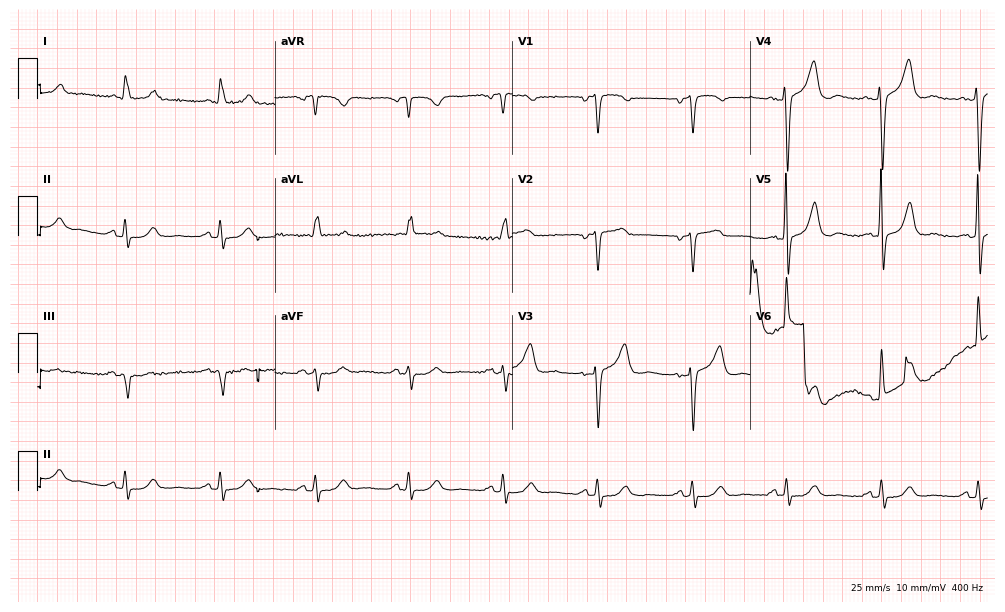
Electrocardiogram (9.7-second recording at 400 Hz), a woman, 79 years old. Overall reading on record: normal ECG.